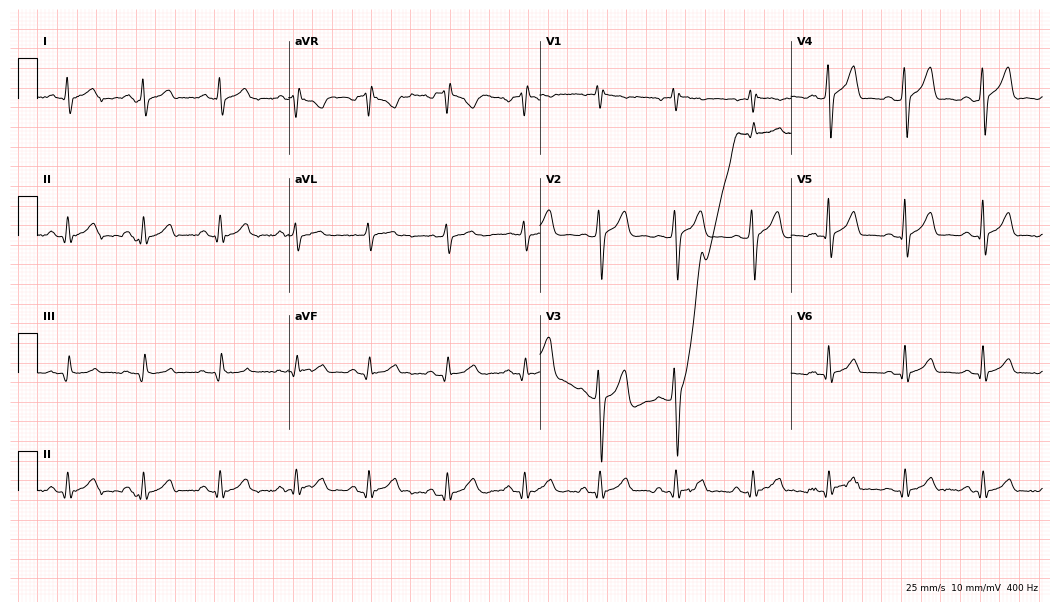
12-lead ECG from a 25-year-old man. Labelled as a normal ECG.